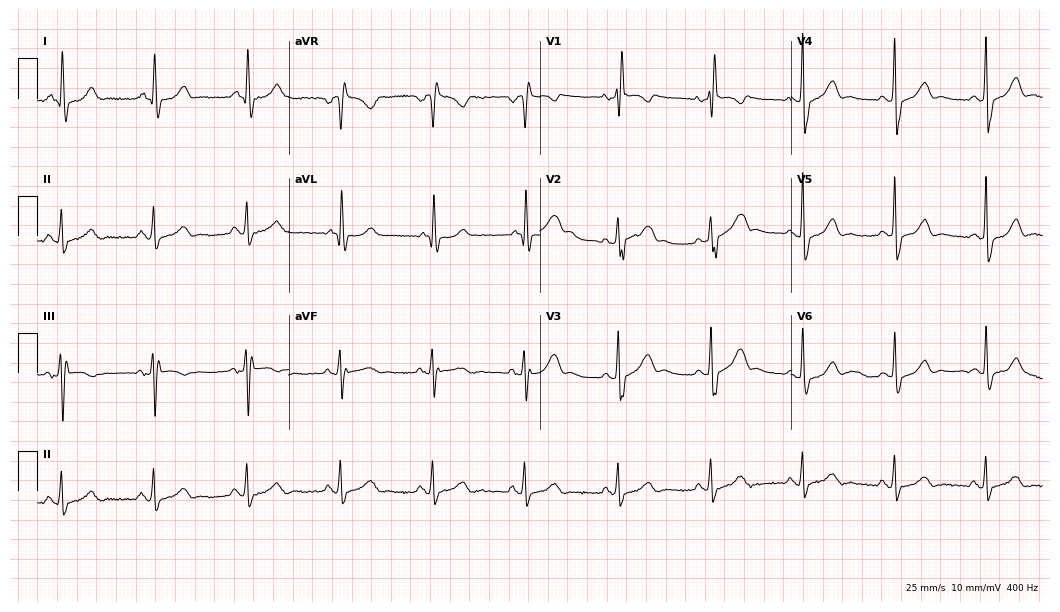
Resting 12-lead electrocardiogram (10.2-second recording at 400 Hz). Patient: a 60-year-old woman. None of these six findings is recorded: first-degree AV block, right bundle branch block, left bundle branch block, sinus bradycardia, atrial fibrillation, sinus tachycardia.